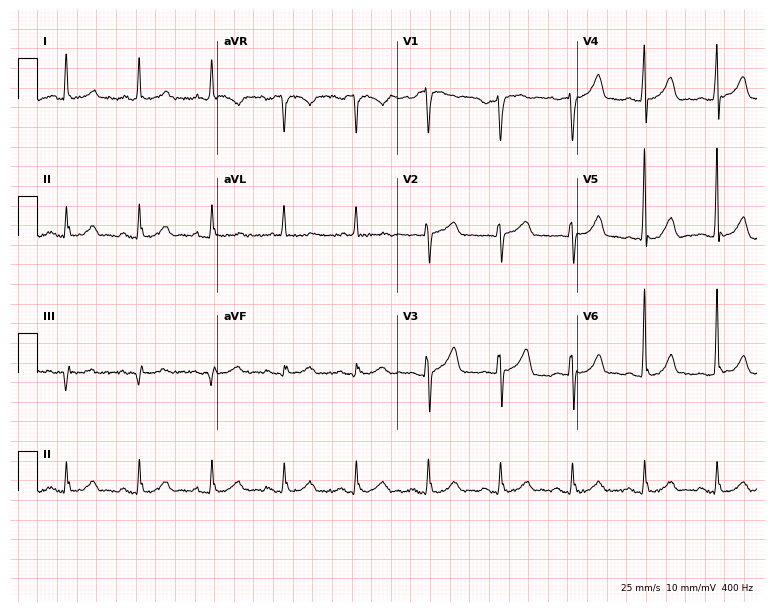
Resting 12-lead electrocardiogram. Patient: a male, 67 years old. Read as a normal ECG.